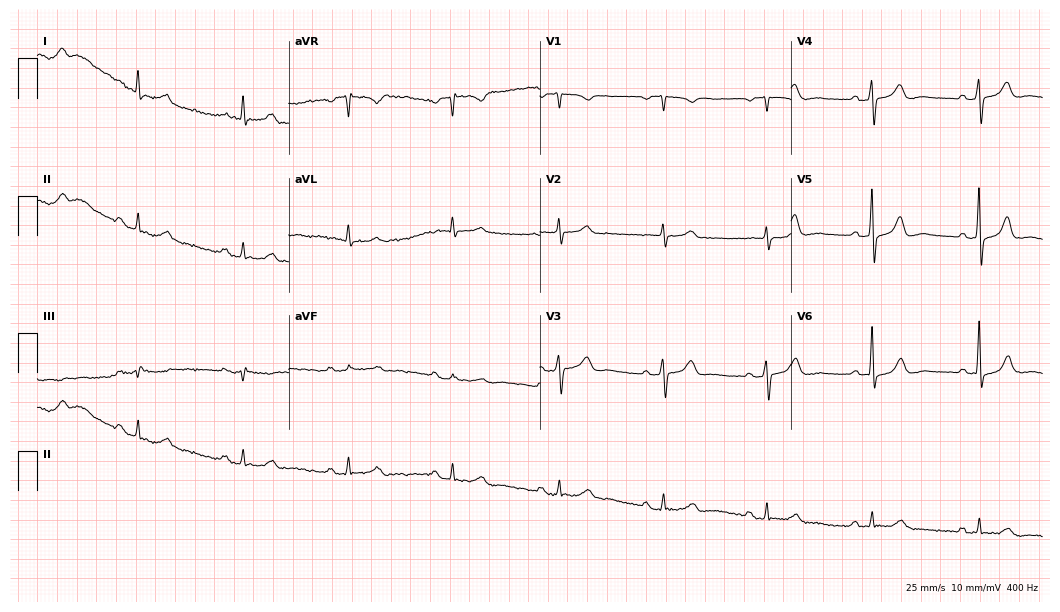
Resting 12-lead electrocardiogram. Patient: a 75-year-old male. None of these six findings is recorded: first-degree AV block, right bundle branch block, left bundle branch block, sinus bradycardia, atrial fibrillation, sinus tachycardia.